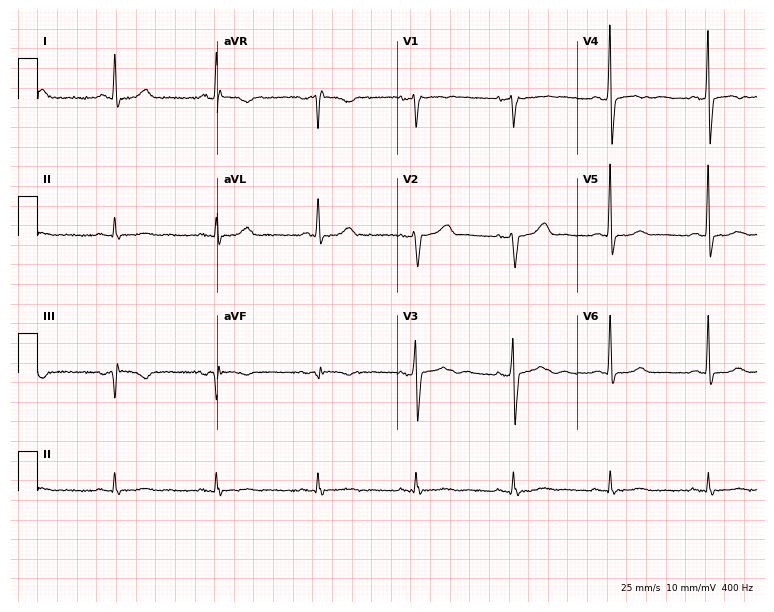
12-lead ECG from a male patient, 77 years old. Screened for six findings — first-degree AV block, right bundle branch block, left bundle branch block, sinus bradycardia, atrial fibrillation, sinus tachycardia — none is recorded. Findings outside these six are not listed.